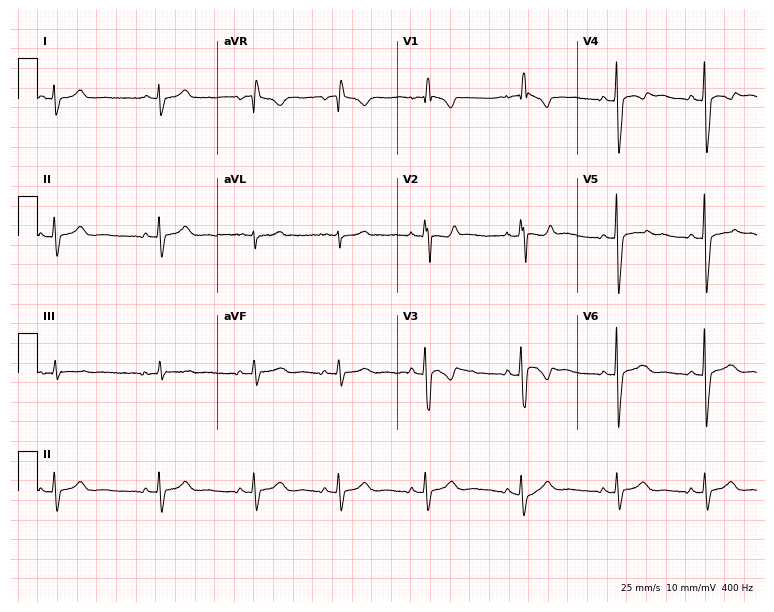
Electrocardiogram (7.3-second recording at 400 Hz), a man, 17 years old. Of the six screened findings (first-degree AV block, right bundle branch block, left bundle branch block, sinus bradycardia, atrial fibrillation, sinus tachycardia), none is recorded.